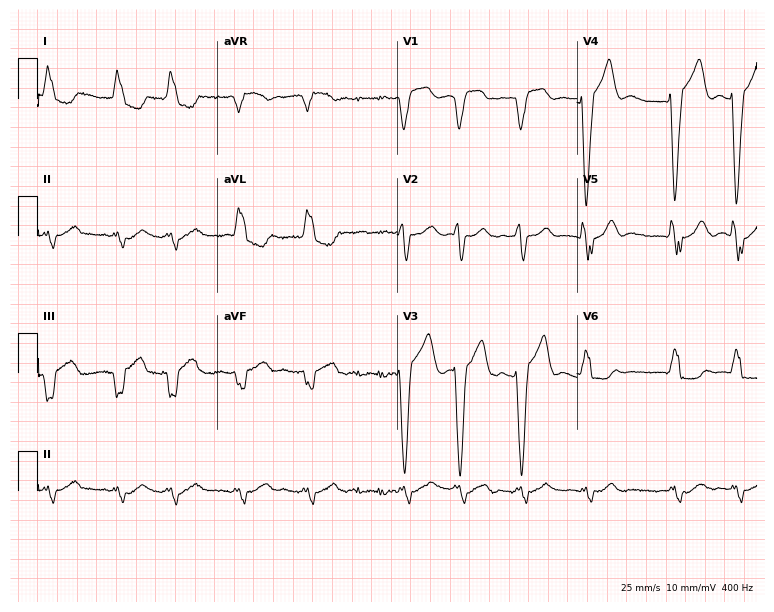
12-lead ECG (7.3-second recording at 400 Hz) from a woman, 87 years old. Screened for six findings — first-degree AV block, right bundle branch block (RBBB), left bundle branch block (LBBB), sinus bradycardia, atrial fibrillation (AF), sinus tachycardia — none is recorded.